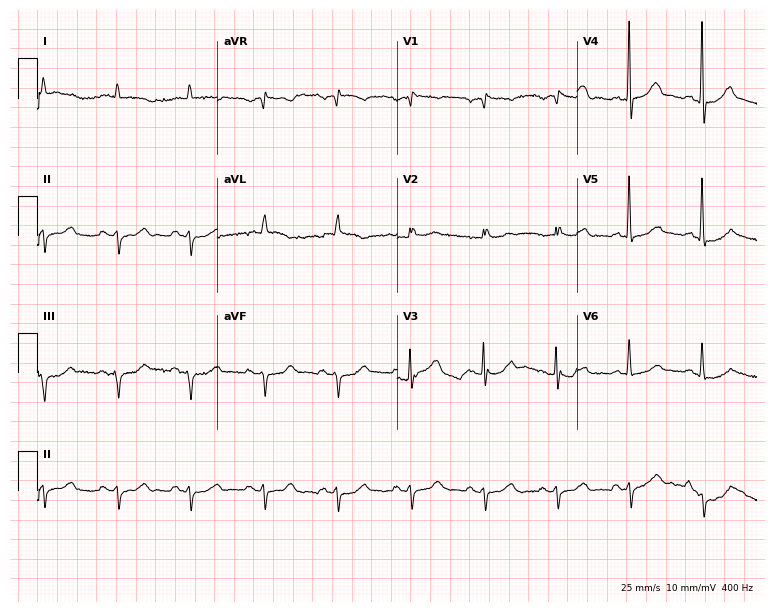
ECG — an 85-year-old male patient. Screened for six findings — first-degree AV block, right bundle branch block, left bundle branch block, sinus bradycardia, atrial fibrillation, sinus tachycardia — none is recorded.